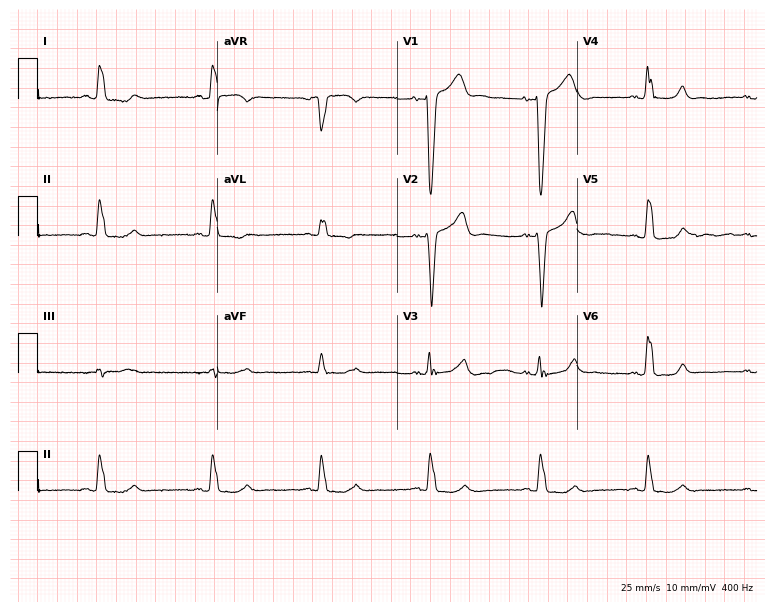
12-lead ECG from an 84-year-old woman (7.3-second recording at 400 Hz). Shows left bundle branch block.